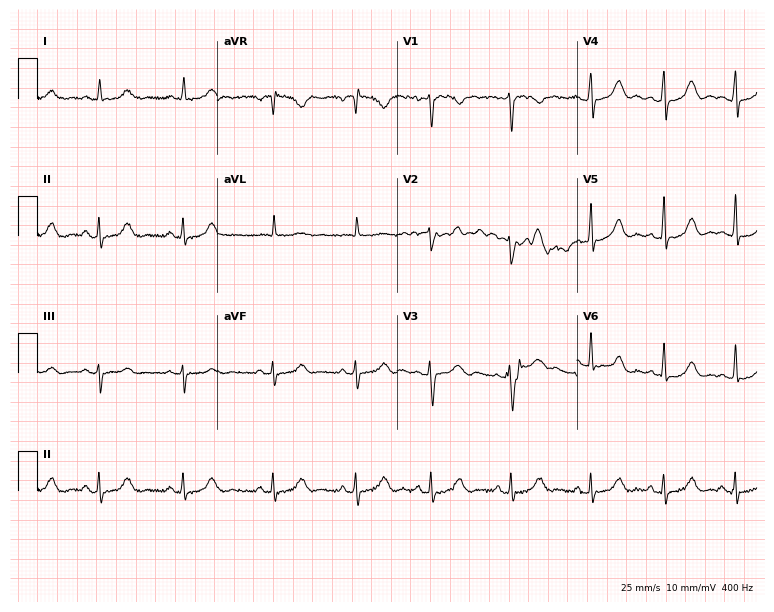
Standard 12-lead ECG recorded from a female patient, 52 years old. Read as a normal ECG.